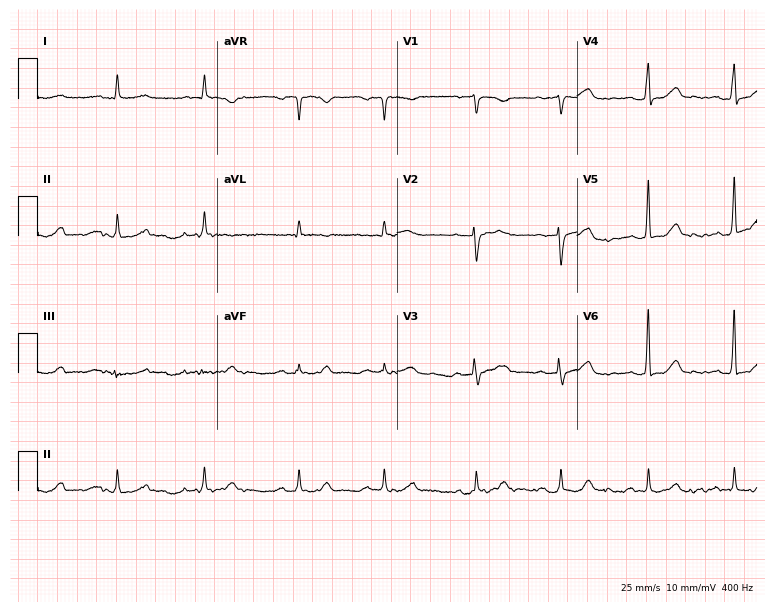
12-lead ECG (7.3-second recording at 400 Hz) from a 66-year-old woman. Screened for six findings — first-degree AV block, right bundle branch block, left bundle branch block, sinus bradycardia, atrial fibrillation, sinus tachycardia — none is recorded.